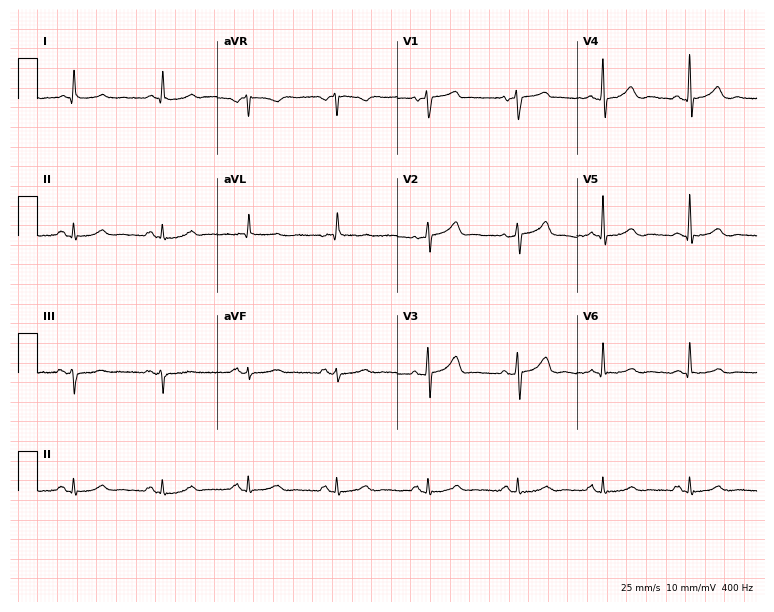
Electrocardiogram (7.3-second recording at 400 Hz), a man, 68 years old. Overall reading on record: normal ECG.